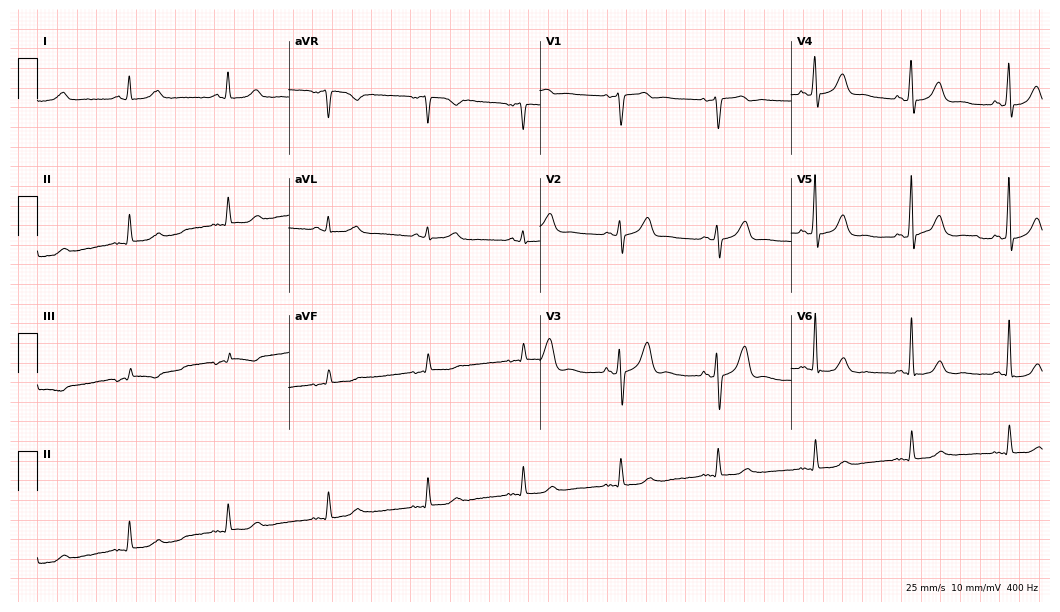
ECG — a 71-year-old man. Labelled as a normal ECG.